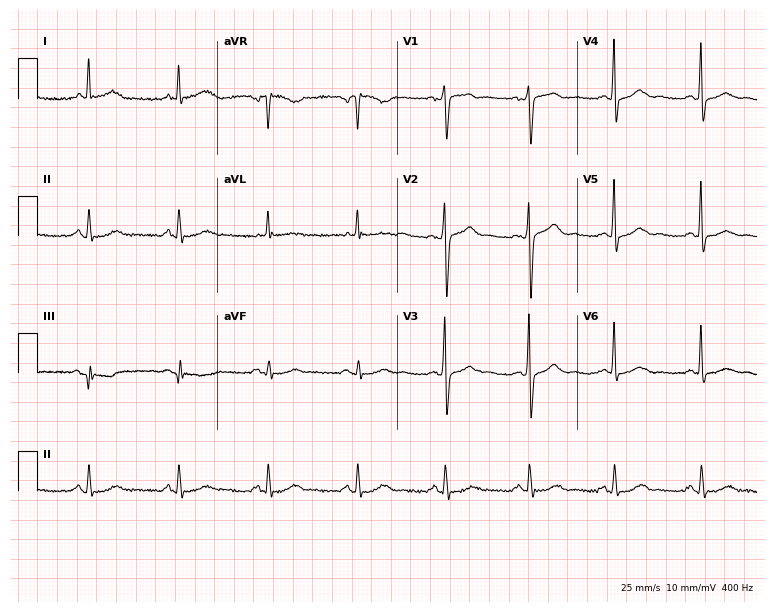
Electrocardiogram, a female, 57 years old. Overall reading on record: normal ECG.